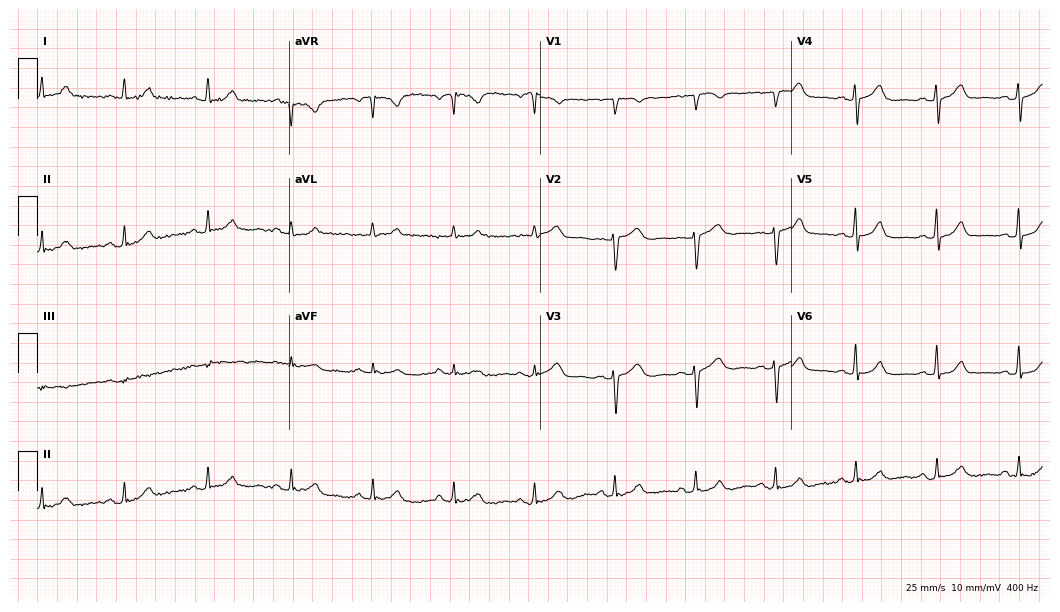
Electrocardiogram (10.2-second recording at 400 Hz), a 57-year-old female patient. Overall reading on record: normal ECG.